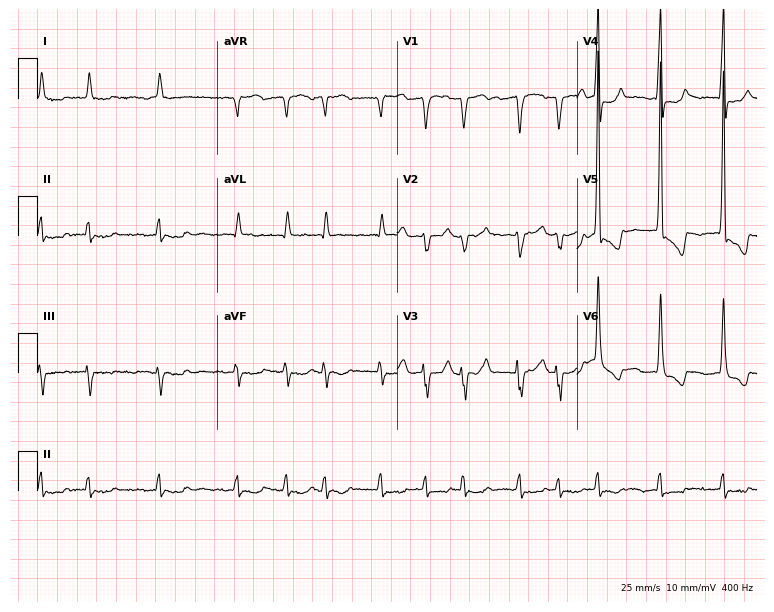
12-lead ECG from a female, 76 years old. Findings include atrial fibrillation (AF).